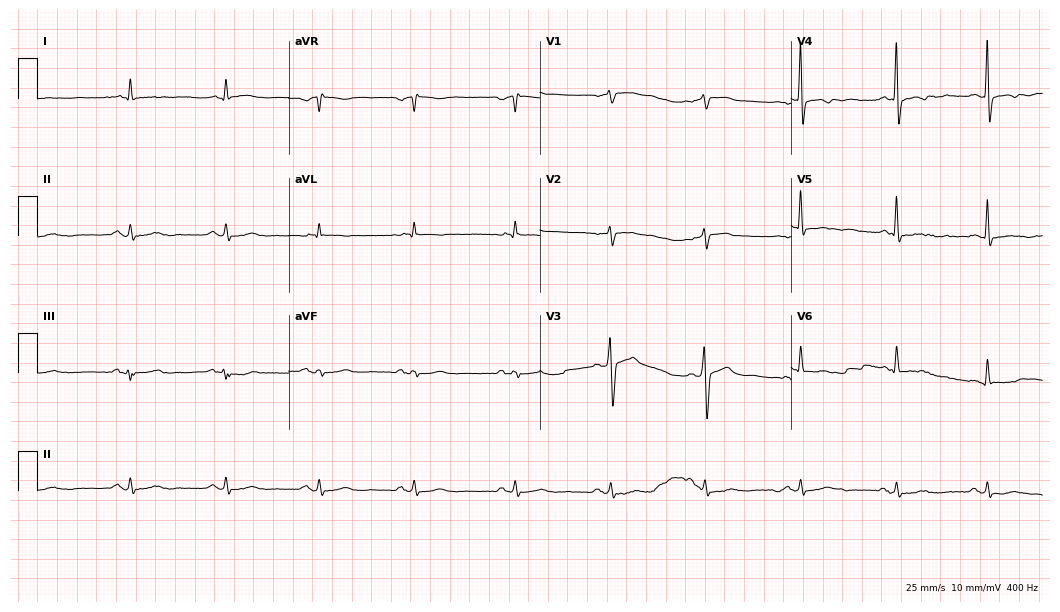
12-lead ECG (10.2-second recording at 400 Hz) from a 65-year-old male. Screened for six findings — first-degree AV block, right bundle branch block (RBBB), left bundle branch block (LBBB), sinus bradycardia, atrial fibrillation (AF), sinus tachycardia — none is recorded. Findings outside these six are not listed.